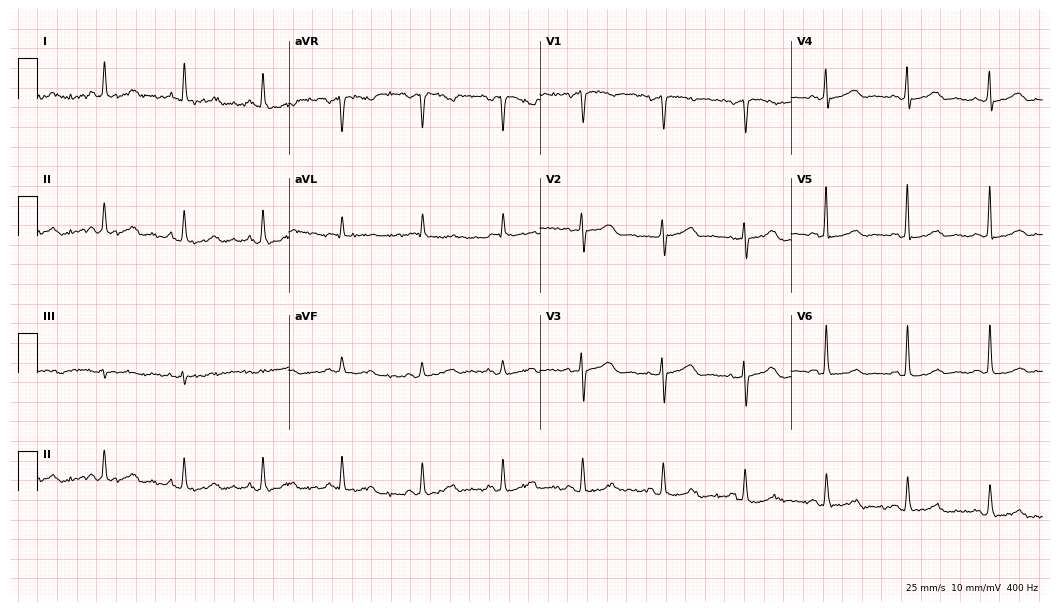
12-lead ECG from a female, 82 years old. Recorded interpretation: within normal limits.